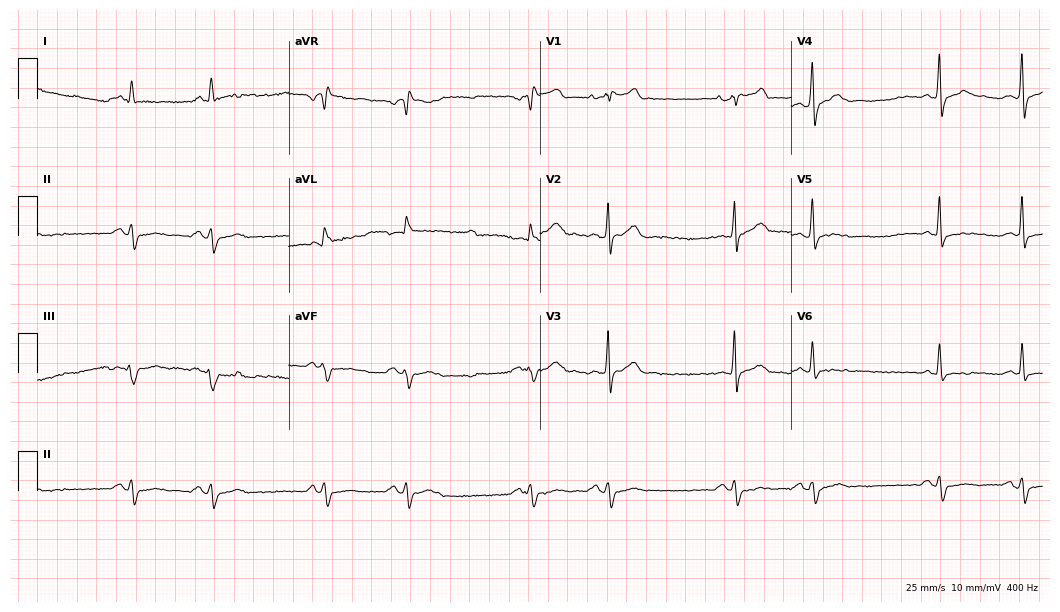
Electrocardiogram, a 70-year-old male patient. Of the six screened findings (first-degree AV block, right bundle branch block, left bundle branch block, sinus bradycardia, atrial fibrillation, sinus tachycardia), none is recorded.